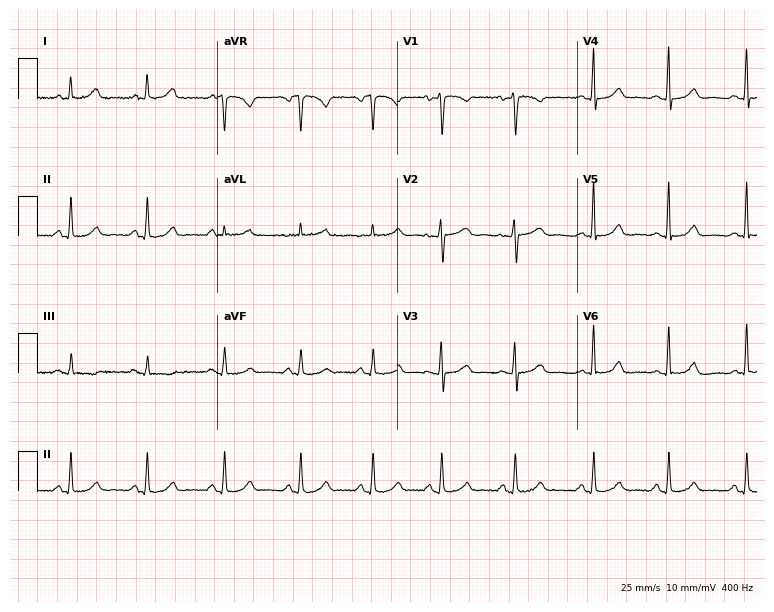
12-lead ECG from a 45-year-old female patient. Labelled as a normal ECG.